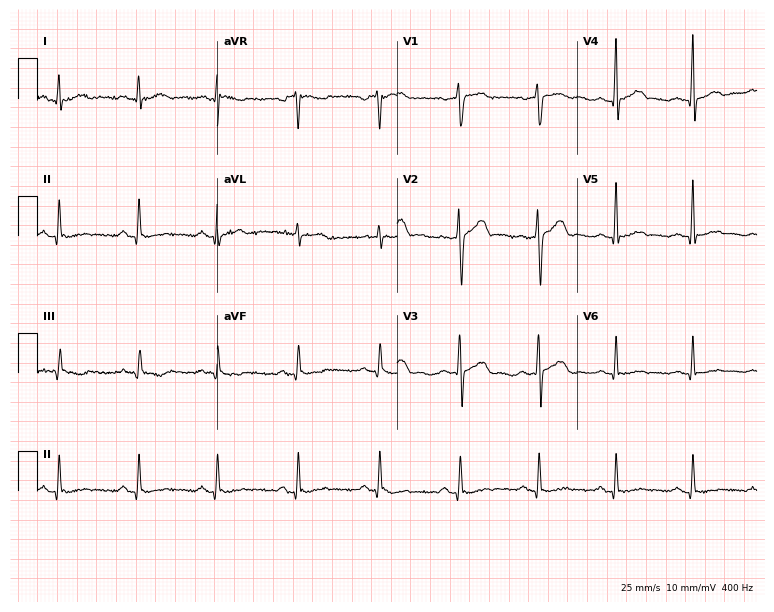
12-lead ECG from a man, 42 years old (7.3-second recording at 400 Hz). No first-degree AV block, right bundle branch block, left bundle branch block, sinus bradycardia, atrial fibrillation or sinus tachycardia recorded for this tracing.